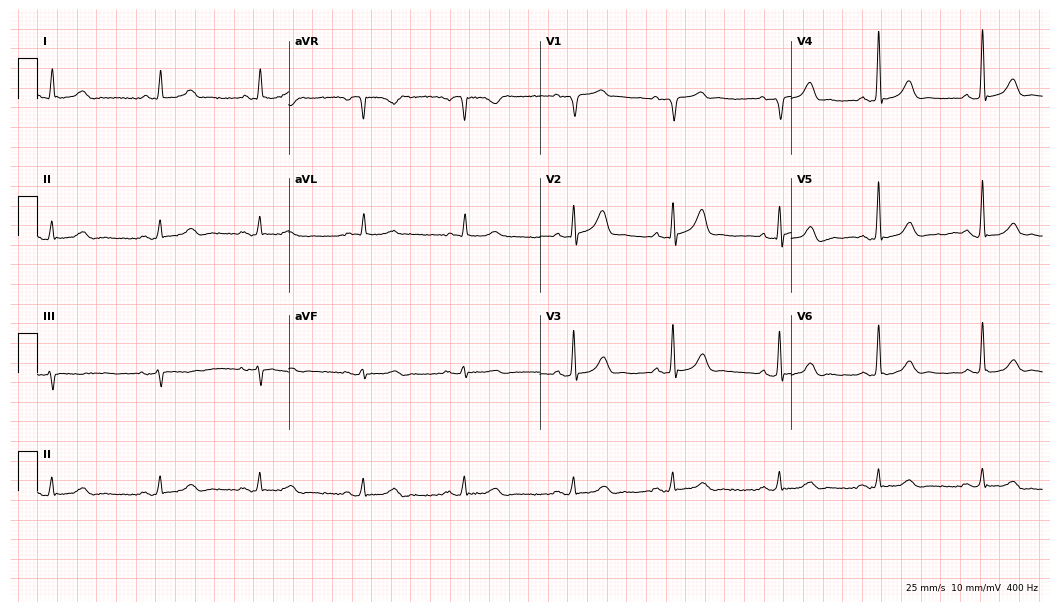
Standard 12-lead ECG recorded from an 81-year-old male. Read as a normal ECG.